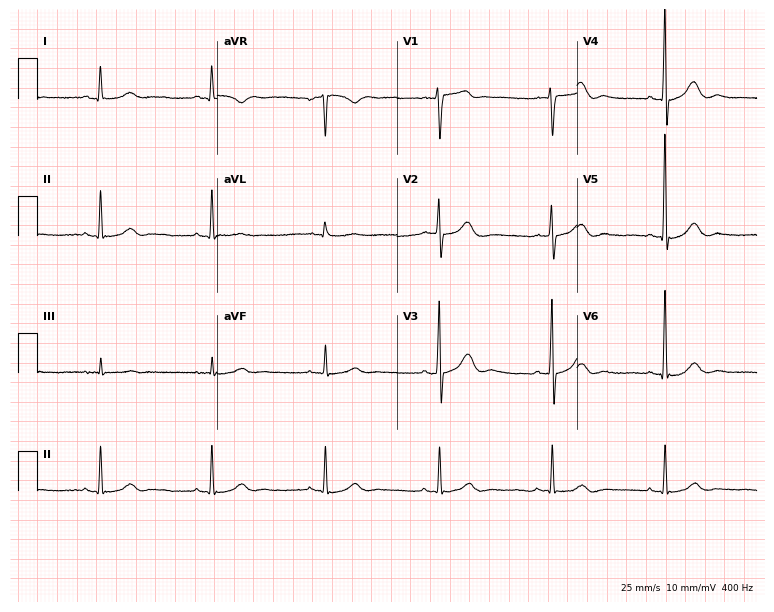
ECG — an 81-year-old man. Labelled as a normal ECG.